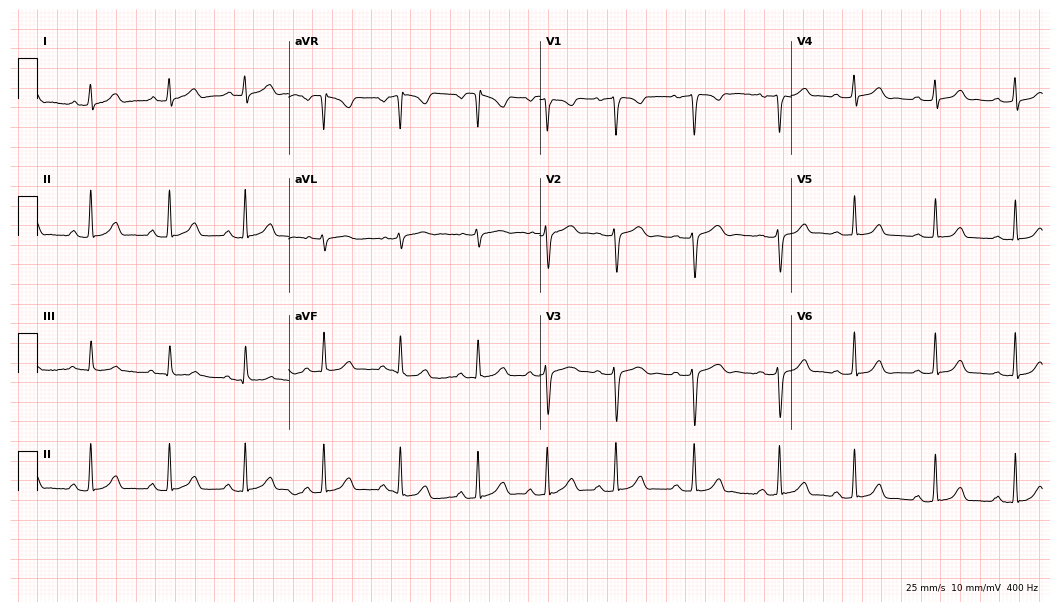
12-lead ECG (10.2-second recording at 400 Hz) from a 22-year-old female patient. Screened for six findings — first-degree AV block, right bundle branch block, left bundle branch block, sinus bradycardia, atrial fibrillation, sinus tachycardia — none is recorded. Only these six findings were labelled.